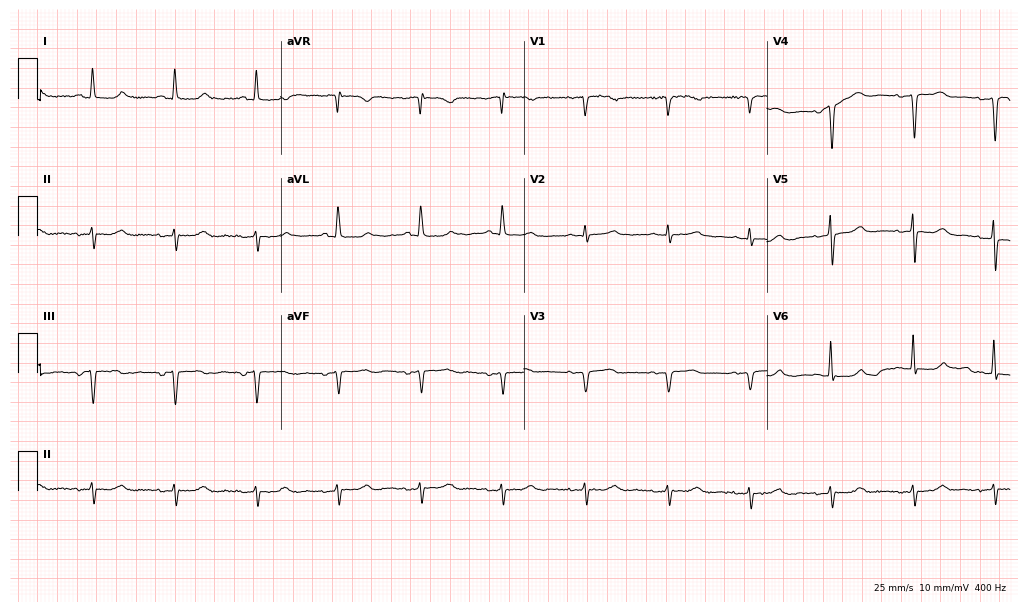
Electrocardiogram (9.9-second recording at 400 Hz), a 75-year-old female. Of the six screened findings (first-degree AV block, right bundle branch block, left bundle branch block, sinus bradycardia, atrial fibrillation, sinus tachycardia), none is recorded. Findings outside these six are not listed.